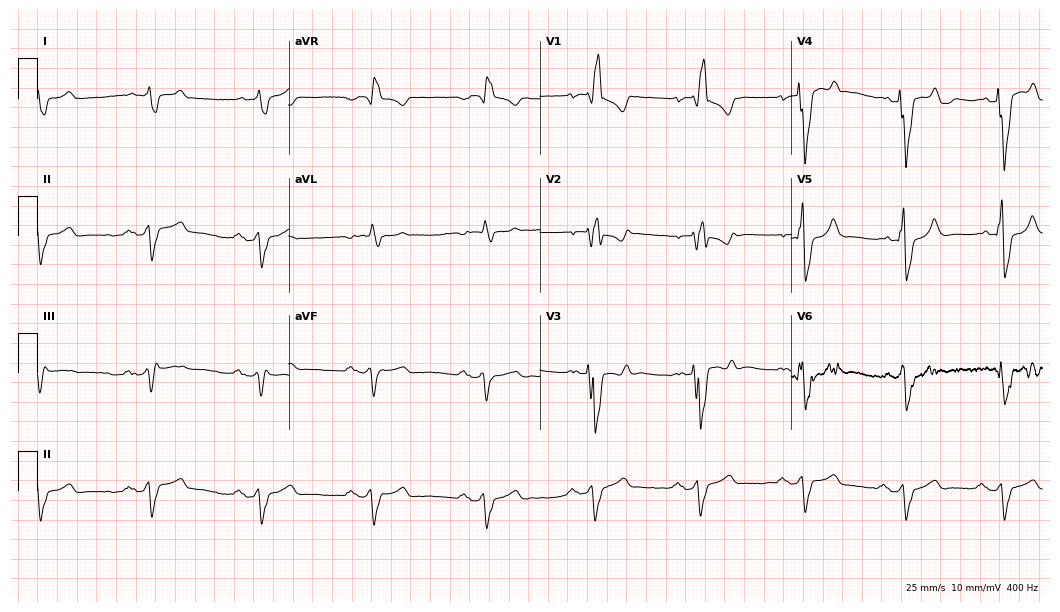
12-lead ECG from a female patient, 75 years old. Findings include right bundle branch block.